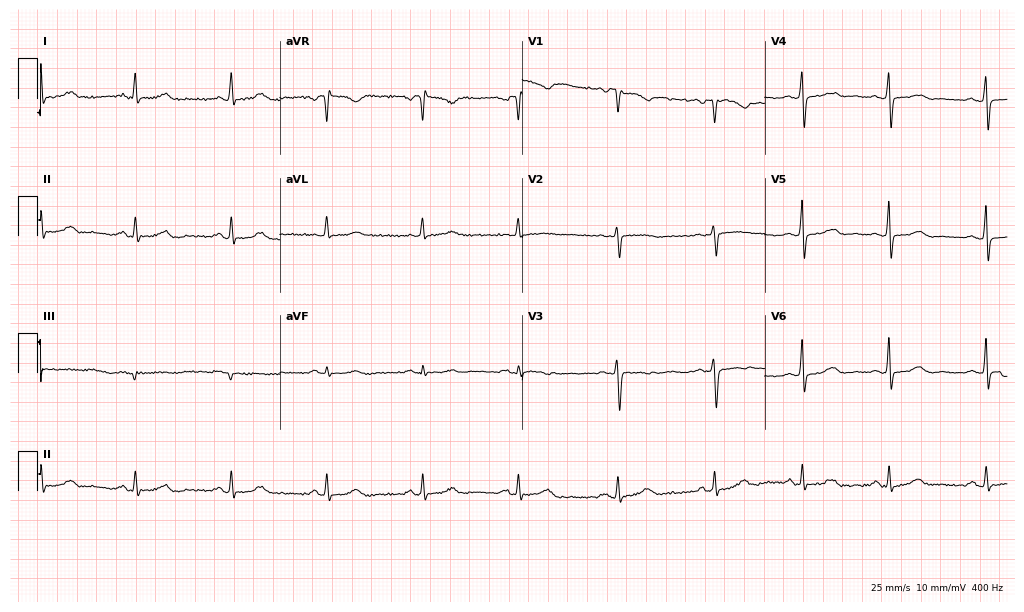
Standard 12-lead ECG recorded from a 38-year-old woman. None of these six findings is recorded: first-degree AV block, right bundle branch block, left bundle branch block, sinus bradycardia, atrial fibrillation, sinus tachycardia. Other findings, if any, are not listed.